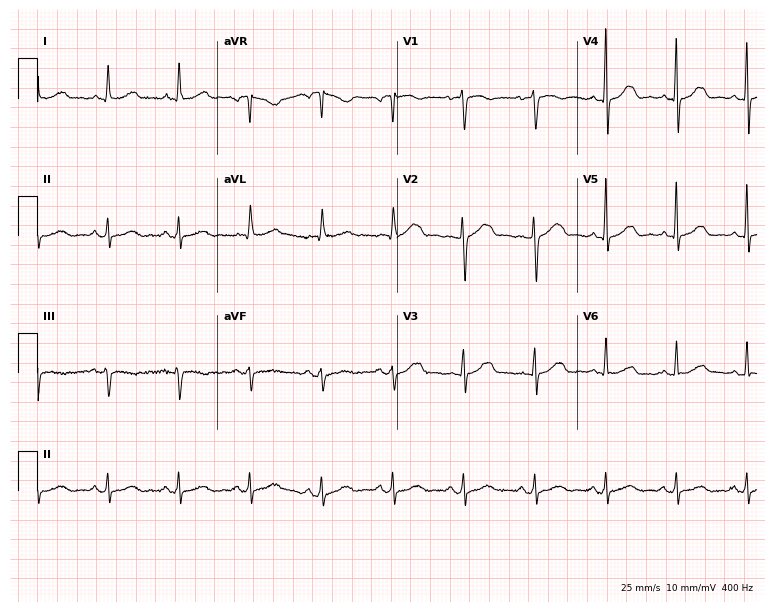
12-lead ECG from a woman, 75 years old (7.3-second recording at 400 Hz). No first-degree AV block, right bundle branch block (RBBB), left bundle branch block (LBBB), sinus bradycardia, atrial fibrillation (AF) or sinus tachycardia recorded for this tracing. Only these six findings were labelled.